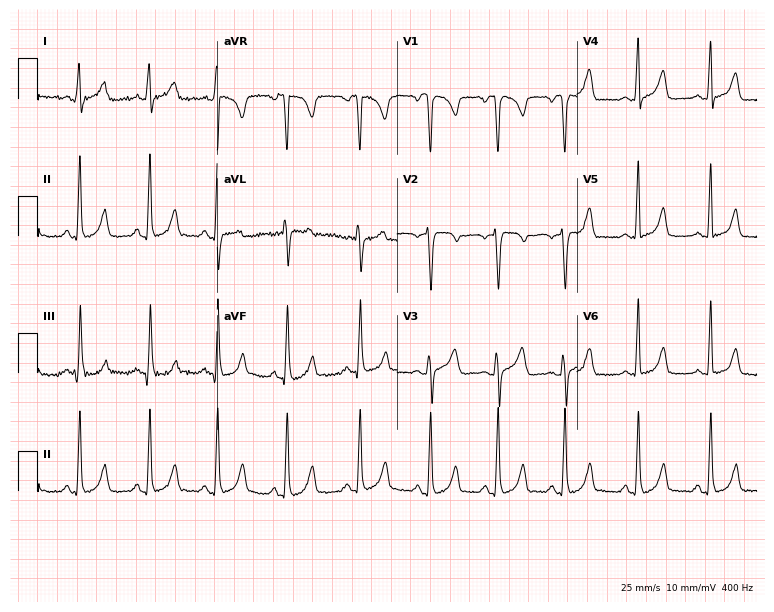
Standard 12-lead ECG recorded from a 34-year-old female (7.3-second recording at 400 Hz). Read as a normal ECG.